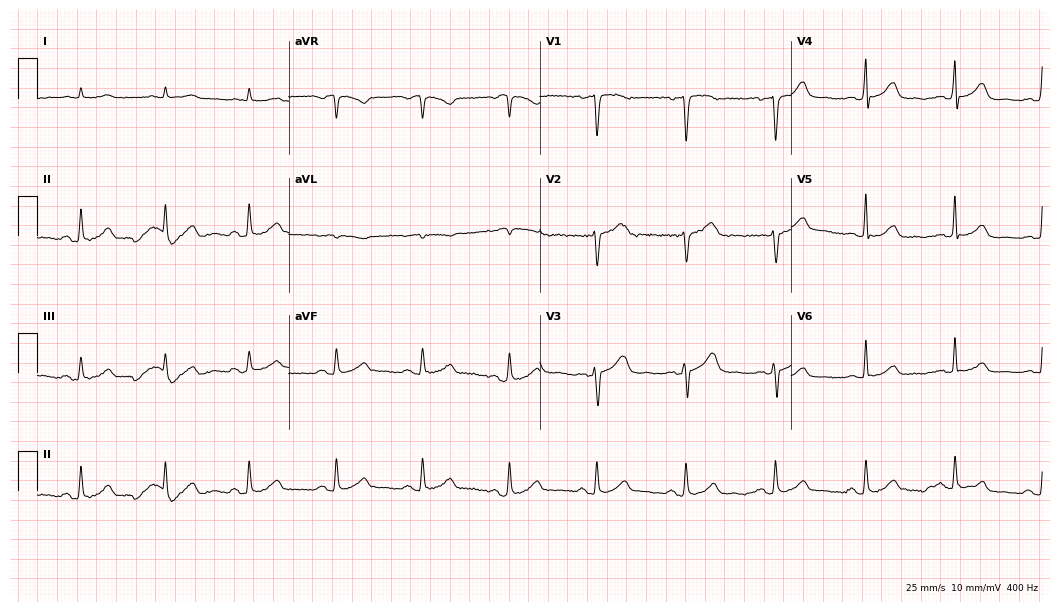
Resting 12-lead electrocardiogram. Patient: a male, 82 years old. Read as a normal ECG.